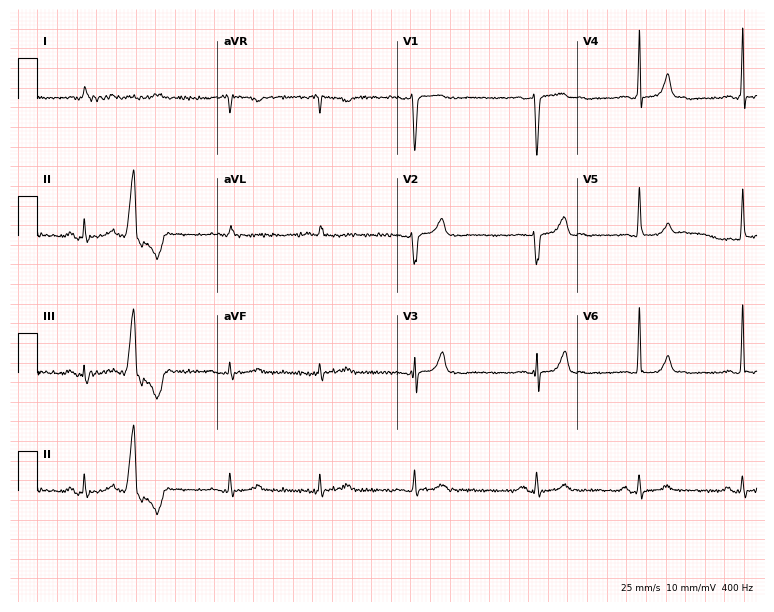
12-lead ECG (7.3-second recording at 400 Hz) from a man, 76 years old. Screened for six findings — first-degree AV block, right bundle branch block, left bundle branch block, sinus bradycardia, atrial fibrillation, sinus tachycardia — none is recorded.